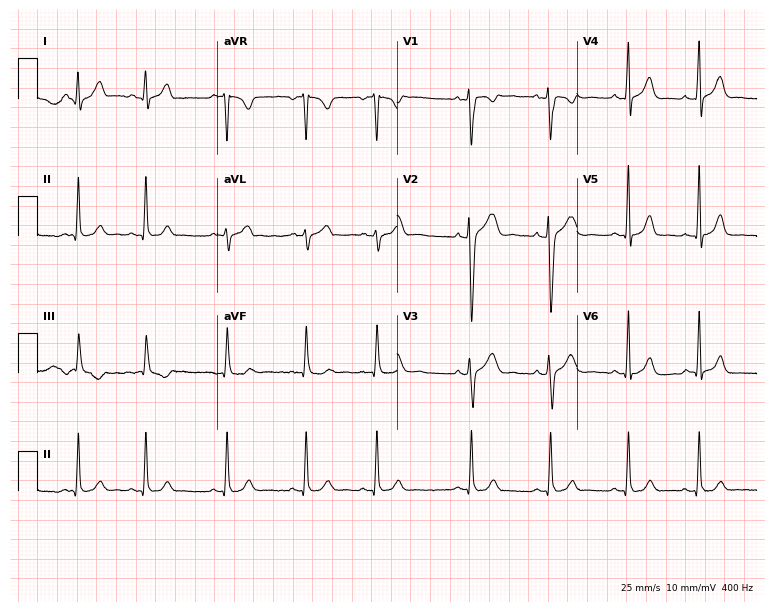
ECG (7.3-second recording at 400 Hz) — an 18-year-old woman. Labelled as a normal ECG.